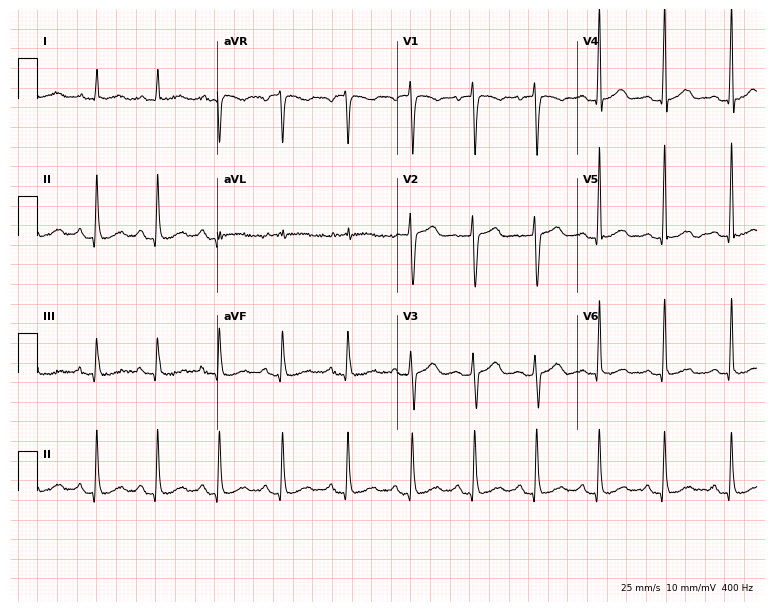
Electrocardiogram, a female patient, 66 years old. Of the six screened findings (first-degree AV block, right bundle branch block, left bundle branch block, sinus bradycardia, atrial fibrillation, sinus tachycardia), none is recorded.